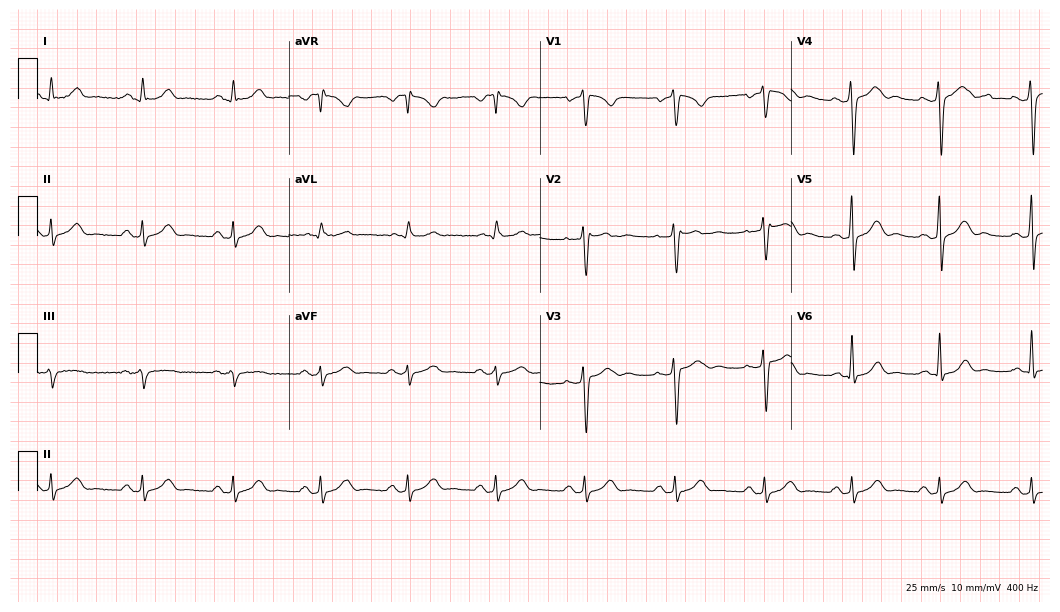
Resting 12-lead electrocardiogram. Patient: a 48-year-old male. Read as a normal ECG.